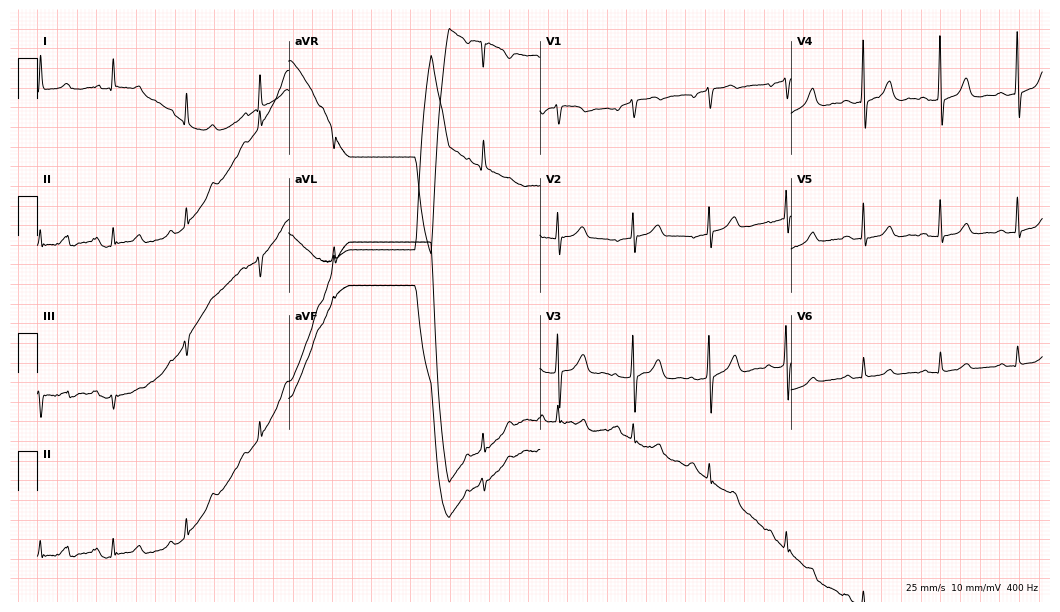
12-lead ECG from a woman, 70 years old (10.2-second recording at 400 Hz). No first-degree AV block, right bundle branch block, left bundle branch block, sinus bradycardia, atrial fibrillation or sinus tachycardia recorded for this tracing.